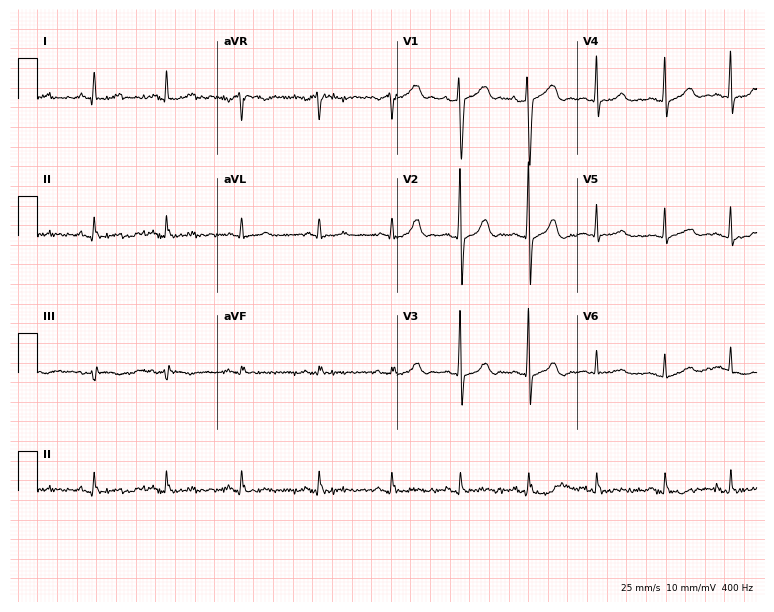
Standard 12-lead ECG recorded from an 18-year-old female (7.3-second recording at 400 Hz). None of these six findings is recorded: first-degree AV block, right bundle branch block, left bundle branch block, sinus bradycardia, atrial fibrillation, sinus tachycardia.